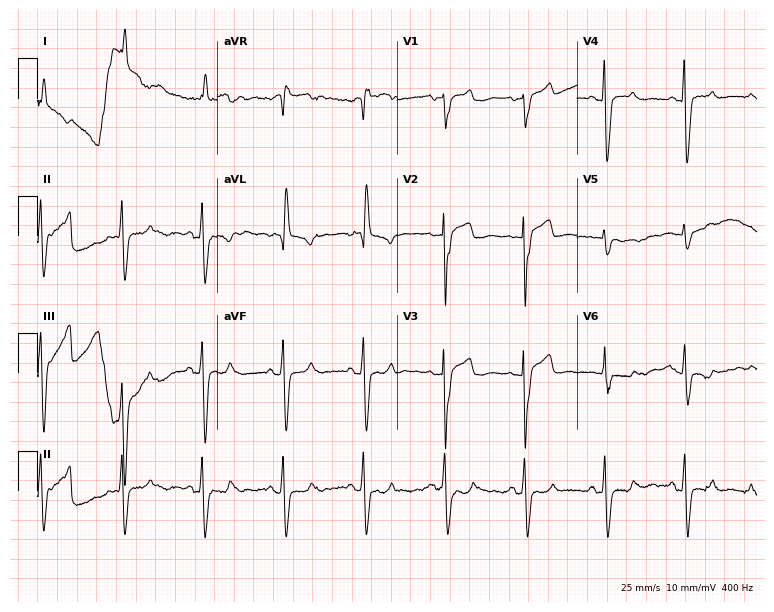
Standard 12-lead ECG recorded from a female patient, 80 years old (7.3-second recording at 400 Hz). None of these six findings is recorded: first-degree AV block, right bundle branch block (RBBB), left bundle branch block (LBBB), sinus bradycardia, atrial fibrillation (AF), sinus tachycardia. Only these six findings were labelled.